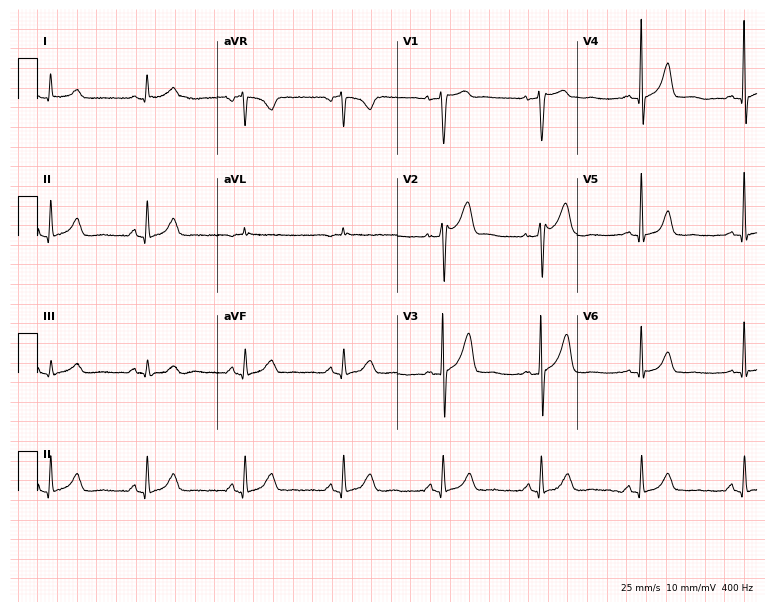
12-lead ECG from an 80-year-old male patient. No first-degree AV block, right bundle branch block (RBBB), left bundle branch block (LBBB), sinus bradycardia, atrial fibrillation (AF) or sinus tachycardia recorded for this tracing. Other findings, if any, are not listed.